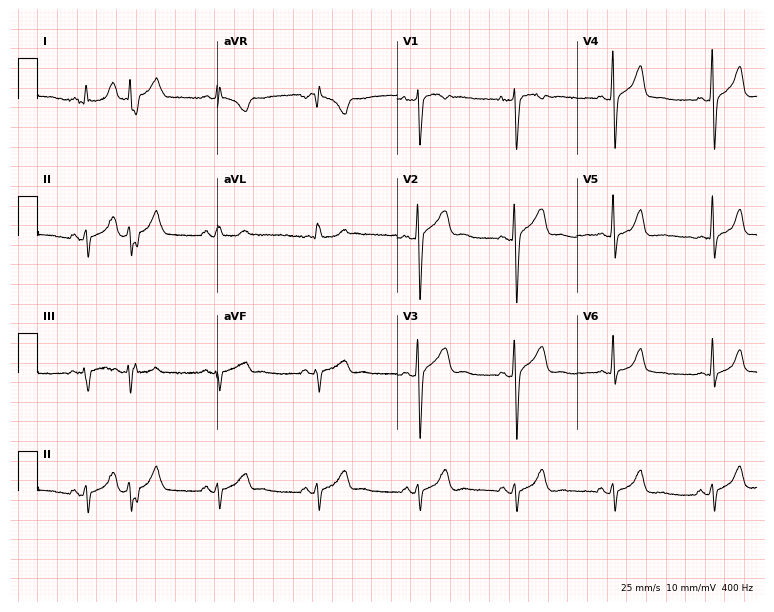
Resting 12-lead electrocardiogram. Patient: a woman, 48 years old. None of these six findings is recorded: first-degree AV block, right bundle branch block (RBBB), left bundle branch block (LBBB), sinus bradycardia, atrial fibrillation (AF), sinus tachycardia. Findings outside these six are not listed.